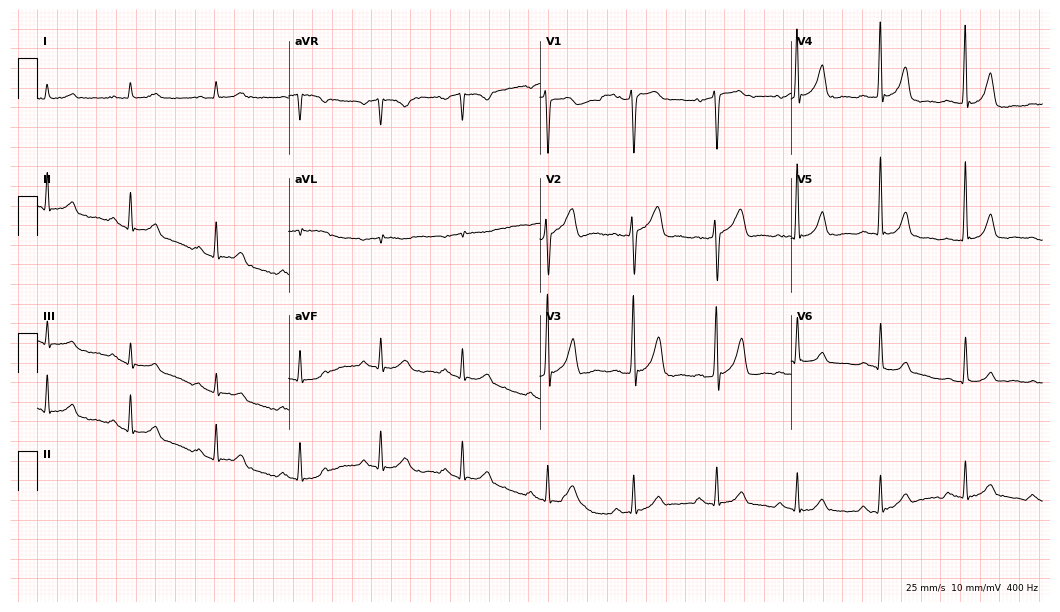
Resting 12-lead electrocardiogram. Patient: a man, 59 years old. Read as a normal ECG.